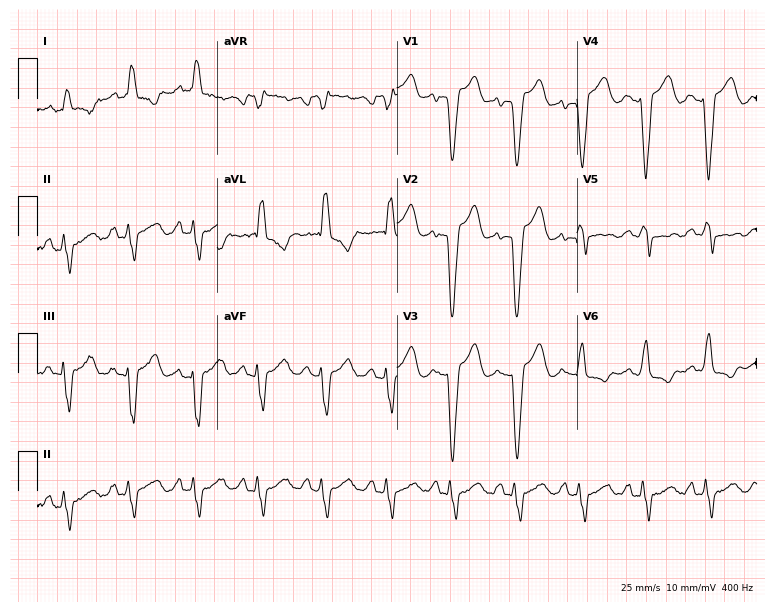
Resting 12-lead electrocardiogram. Patient: a woman, 58 years old. The tracing shows left bundle branch block.